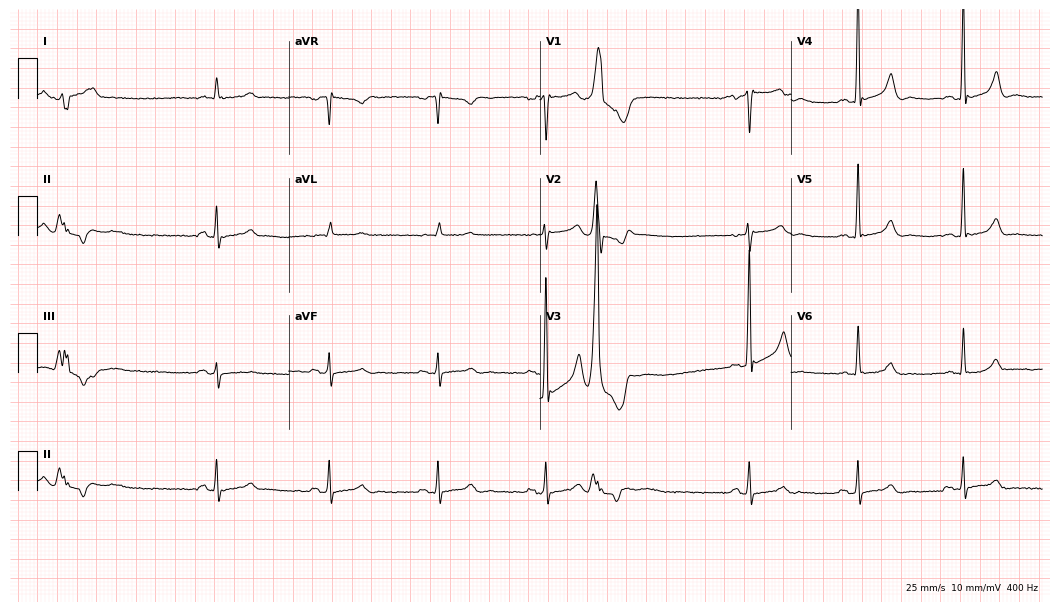
Resting 12-lead electrocardiogram. Patient: a male, 68 years old. None of these six findings is recorded: first-degree AV block, right bundle branch block, left bundle branch block, sinus bradycardia, atrial fibrillation, sinus tachycardia.